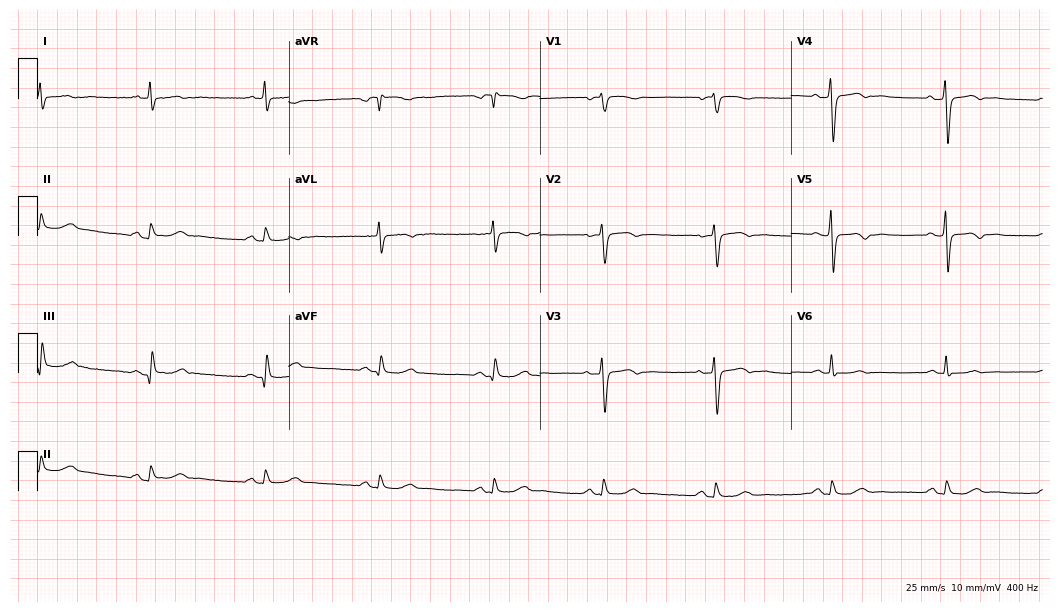
Resting 12-lead electrocardiogram (10.2-second recording at 400 Hz). Patient: a female, 56 years old. None of these six findings is recorded: first-degree AV block, right bundle branch block, left bundle branch block, sinus bradycardia, atrial fibrillation, sinus tachycardia.